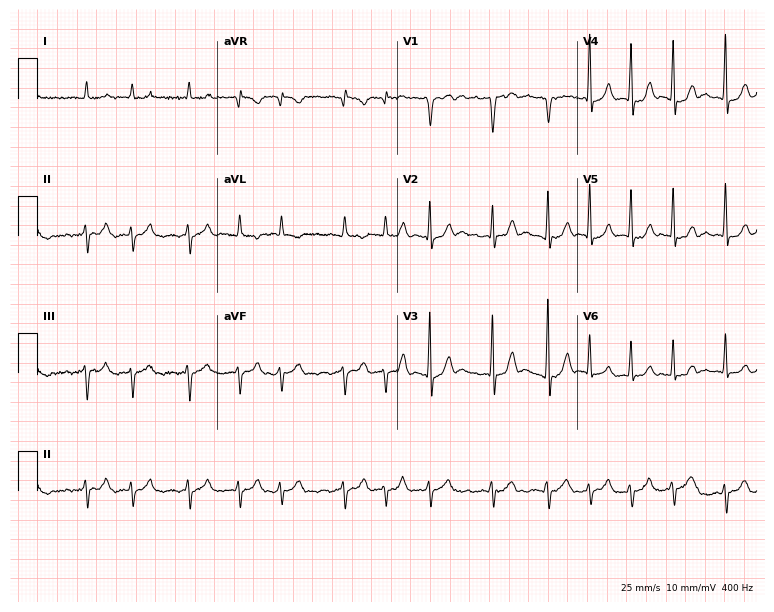
Resting 12-lead electrocardiogram. Patient: an 80-year-old male. The tracing shows atrial fibrillation (AF).